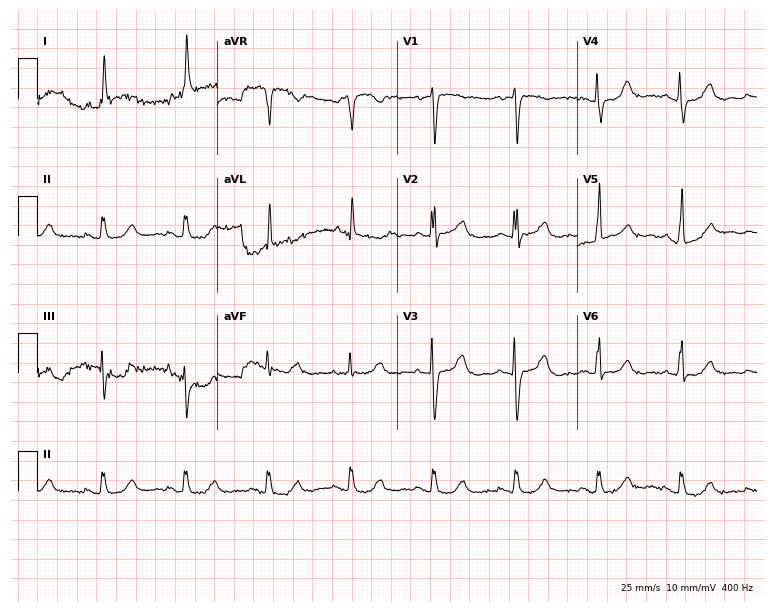
Standard 12-lead ECG recorded from a woman, 81 years old. None of these six findings is recorded: first-degree AV block, right bundle branch block, left bundle branch block, sinus bradycardia, atrial fibrillation, sinus tachycardia. Only these six findings were labelled.